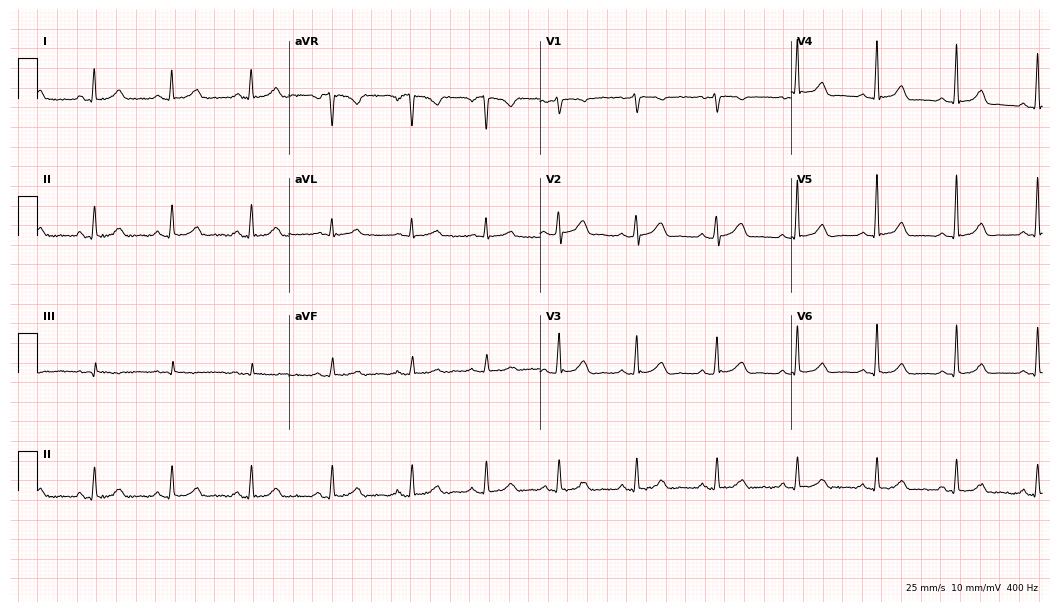
12-lead ECG from a 48-year-old female patient (10.2-second recording at 400 Hz). Recorded interpretation: within normal limits.